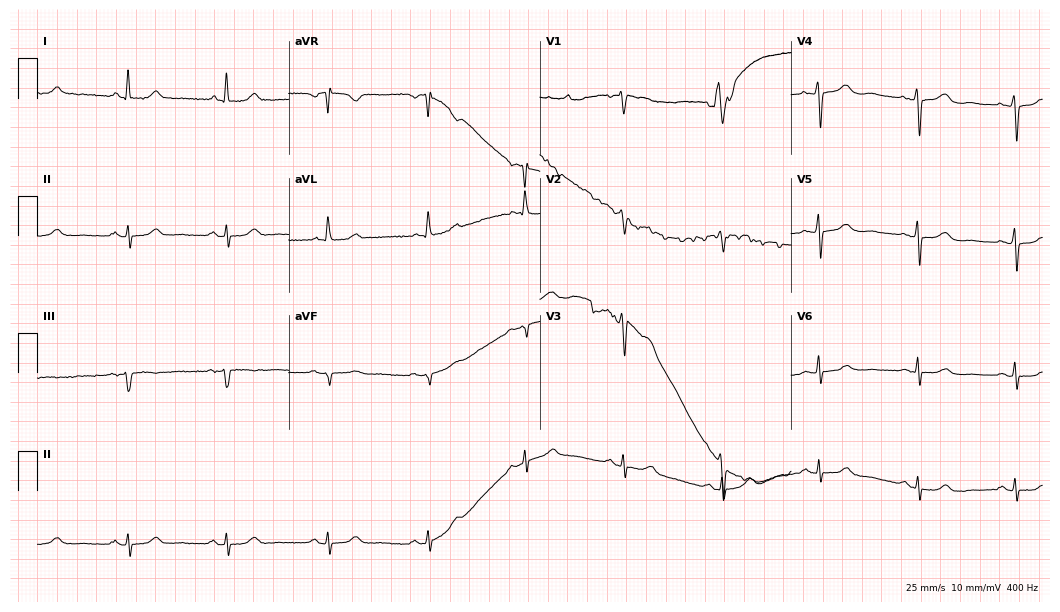
Electrocardiogram, a woman, 75 years old. Overall reading on record: normal ECG.